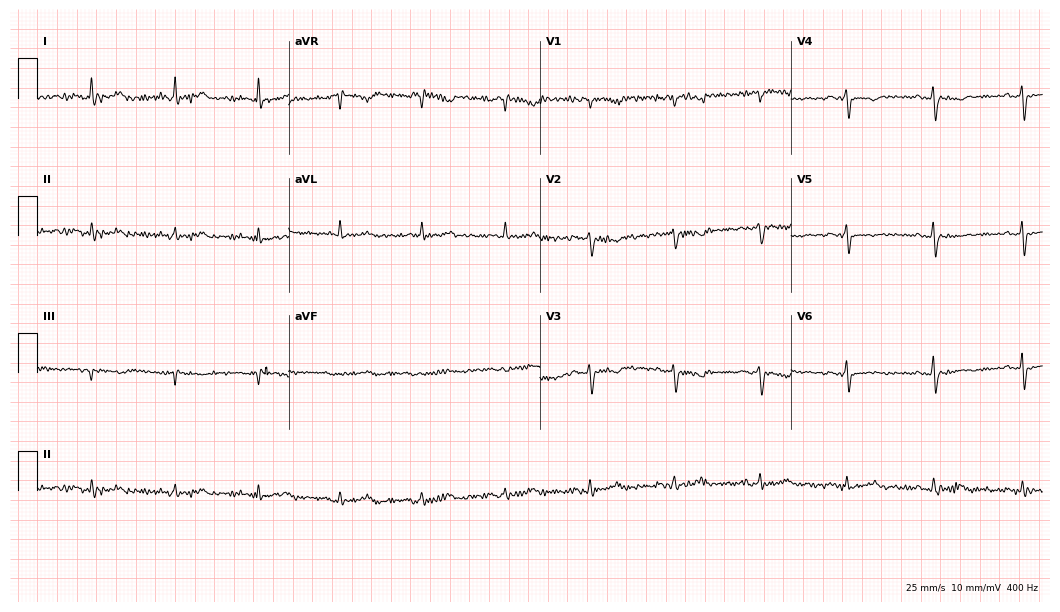
Electrocardiogram, a woman, 70 years old. Of the six screened findings (first-degree AV block, right bundle branch block (RBBB), left bundle branch block (LBBB), sinus bradycardia, atrial fibrillation (AF), sinus tachycardia), none is recorded. Only these six findings were labelled.